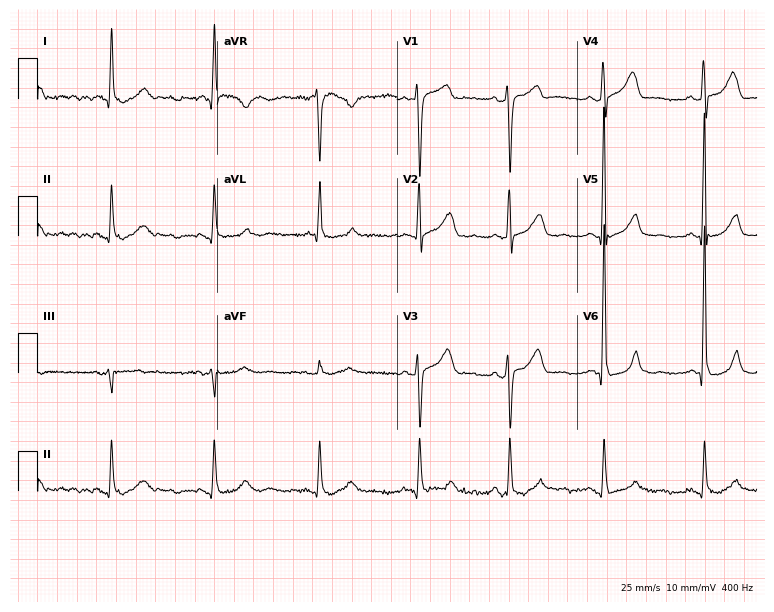
12-lead ECG (7.3-second recording at 400 Hz) from a male, 62 years old. Screened for six findings — first-degree AV block, right bundle branch block, left bundle branch block, sinus bradycardia, atrial fibrillation, sinus tachycardia — none is recorded. Other findings, if any, are not listed.